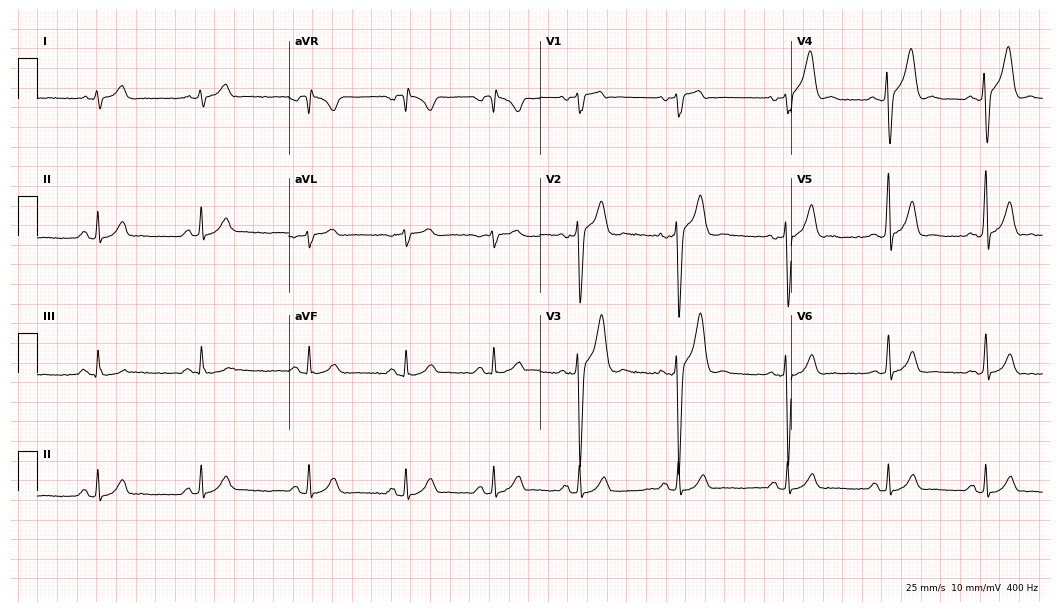
Resting 12-lead electrocardiogram (10.2-second recording at 400 Hz). Patient: a 29-year-old male. Read as a normal ECG.